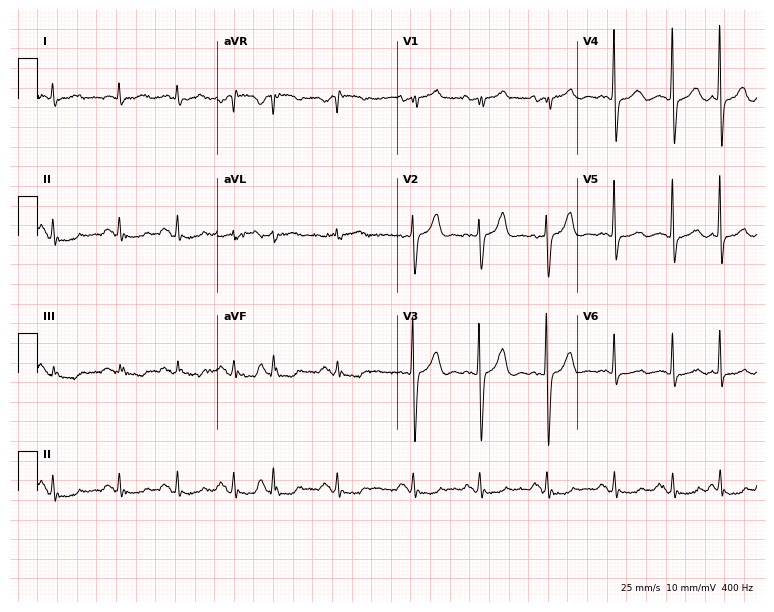
ECG (7.3-second recording at 400 Hz) — a male, 75 years old. Labelled as a normal ECG.